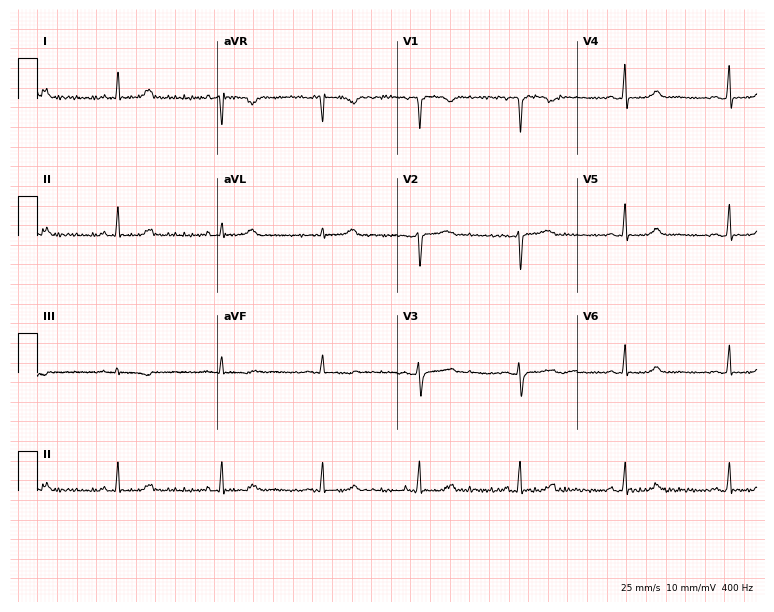
12-lead ECG from a 46-year-old woman (7.3-second recording at 400 Hz). No first-degree AV block, right bundle branch block (RBBB), left bundle branch block (LBBB), sinus bradycardia, atrial fibrillation (AF) or sinus tachycardia recorded for this tracing. Findings outside these six are not listed.